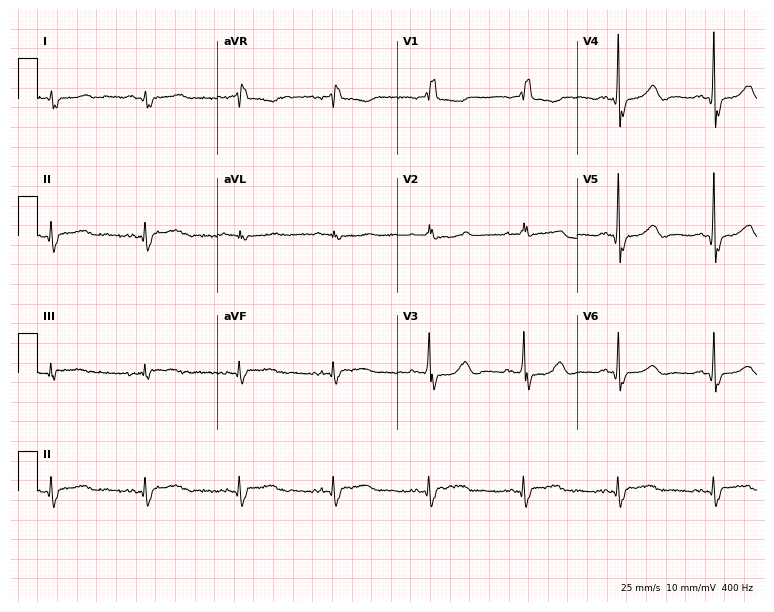
Standard 12-lead ECG recorded from a 60-year-old man. None of these six findings is recorded: first-degree AV block, right bundle branch block, left bundle branch block, sinus bradycardia, atrial fibrillation, sinus tachycardia.